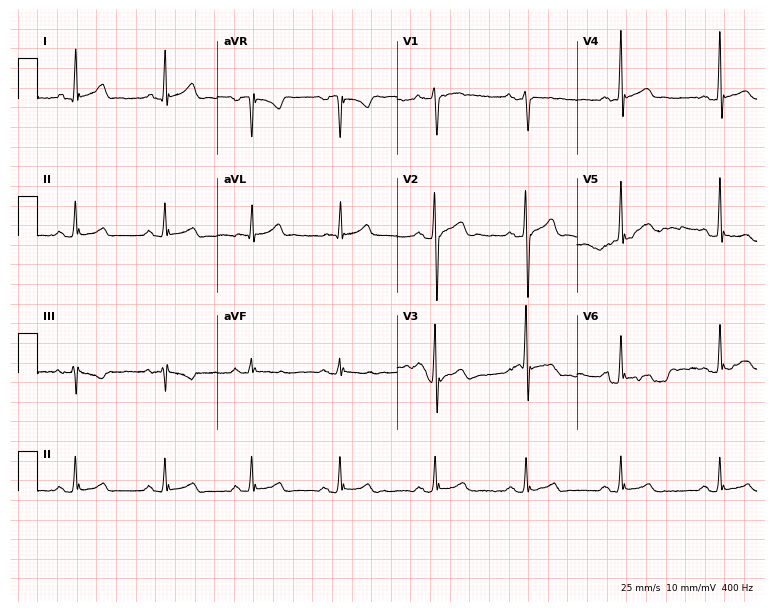
Resting 12-lead electrocardiogram. Patient: a 30-year-old male. Read as a normal ECG.